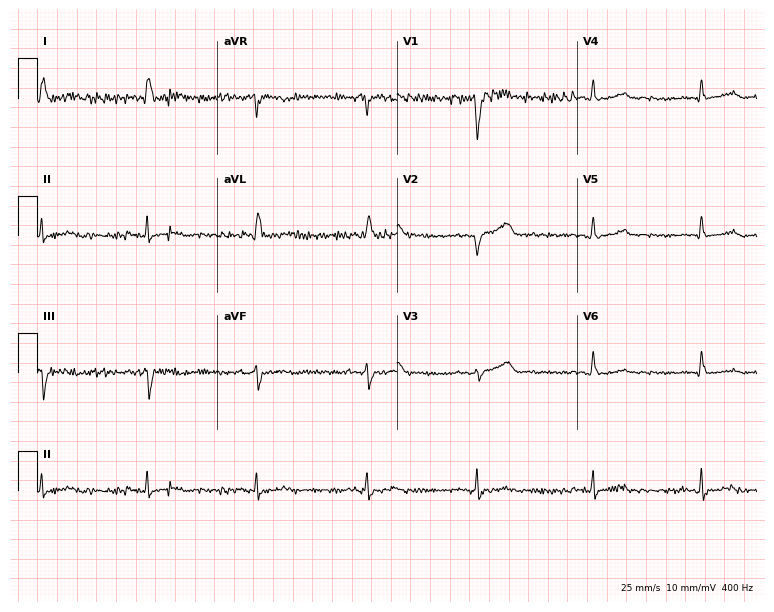
12-lead ECG (7.3-second recording at 400 Hz) from a male, 56 years old. Screened for six findings — first-degree AV block, right bundle branch block, left bundle branch block, sinus bradycardia, atrial fibrillation, sinus tachycardia — none is recorded.